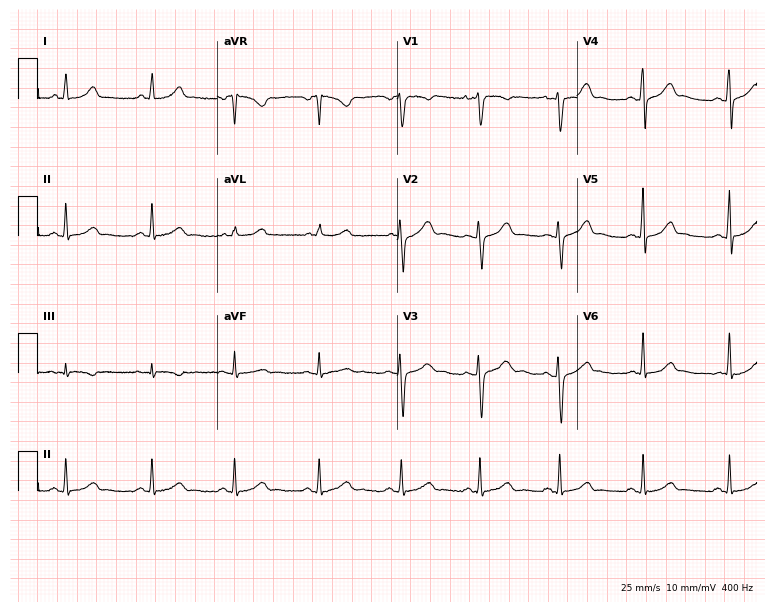
Standard 12-lead ECG recorded from a 31-year-old female patient (7.3-second recording at 400 Hz). Read as a normal ECG.